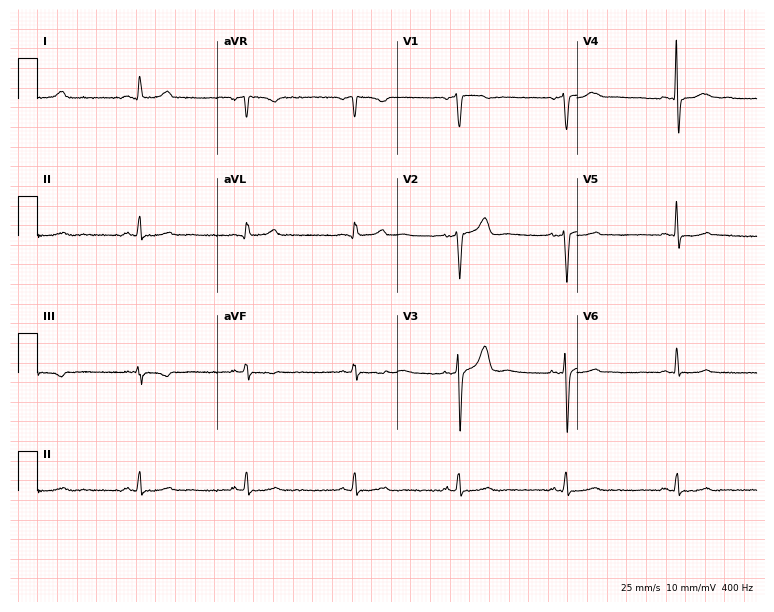
Resting 12-lead electrocardiogram. Patient: a 63-year-old woman. None of these six findings is recorded: first-degree AV block, right bundle branch block (RBBB), left bundle branch block (LBBB), sinus bradycardia, atrial fibrillation (AF), sinus tachycardia. Other findings, if any, are not listed.